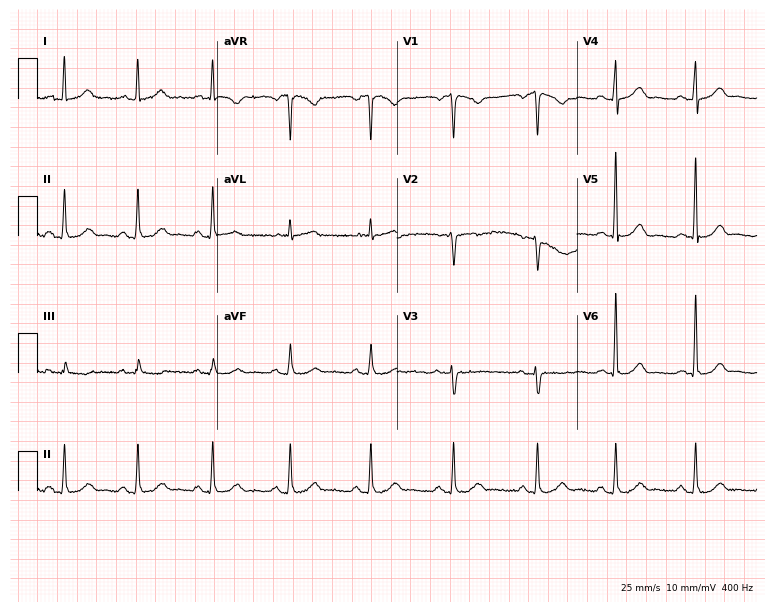
Standard 12-lead ECG recorded from a 51-year-old female. Read as a normal ECG.